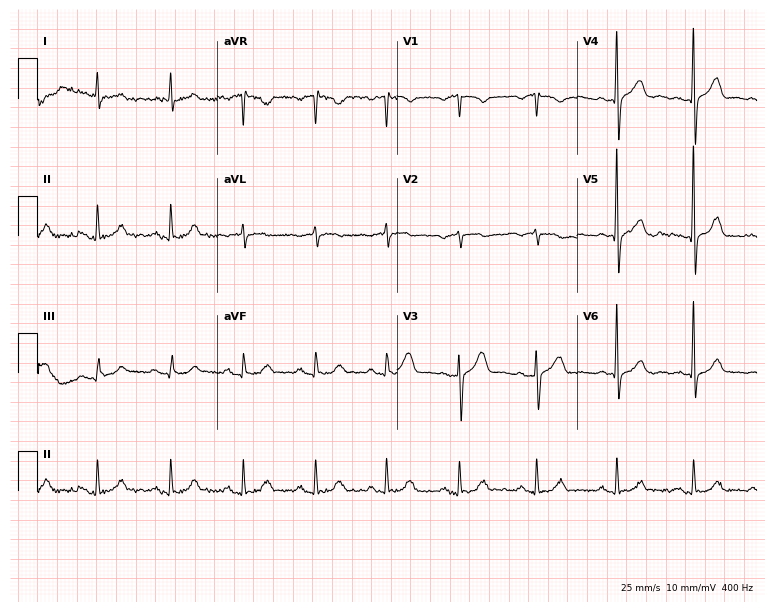
Standard 12-lead ECG recorded from a 72-year-old male (7.3-second recording at 400 Hz). Read as a normal ECG.